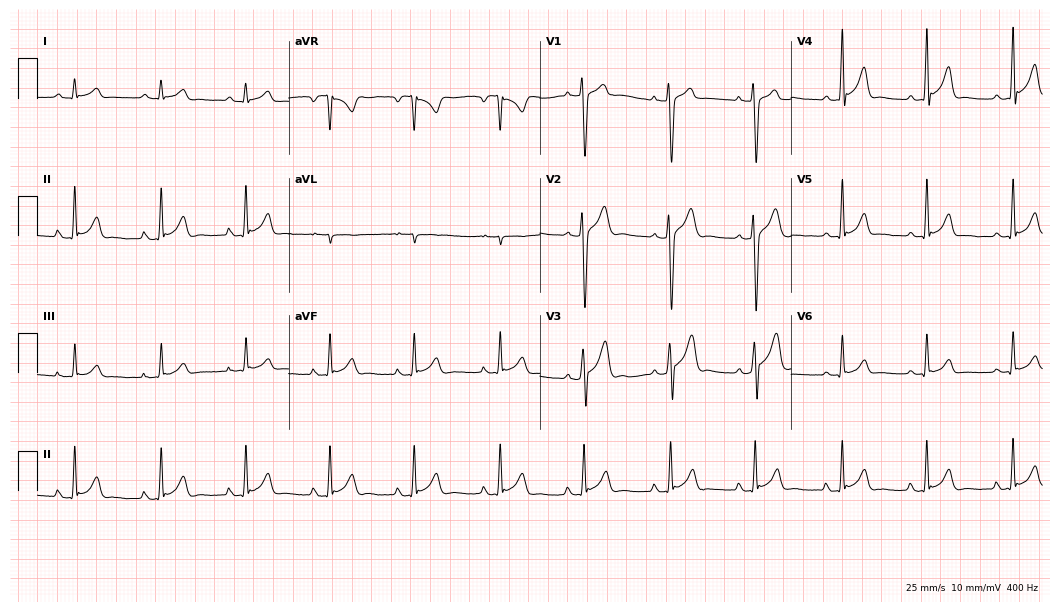
Standard 12-lead ECG recorded from a male patient, 17 years old (10.2-second recording at 400 Hz). Read as a normal ECG.